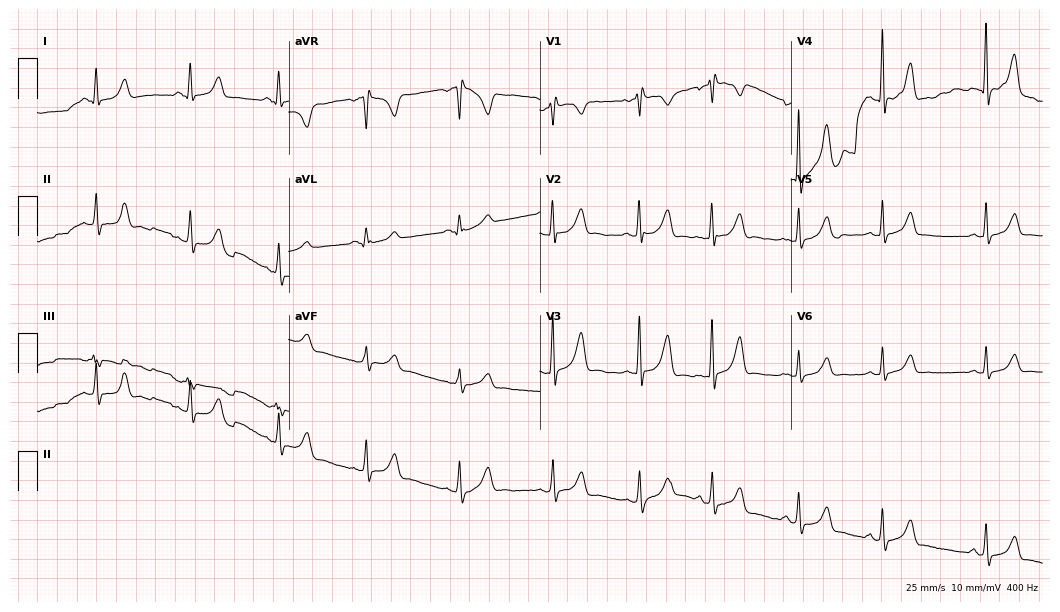
Resting 12-lead electrocardiogram. Patient: a female, 18 years old. Read as a normal ECG.